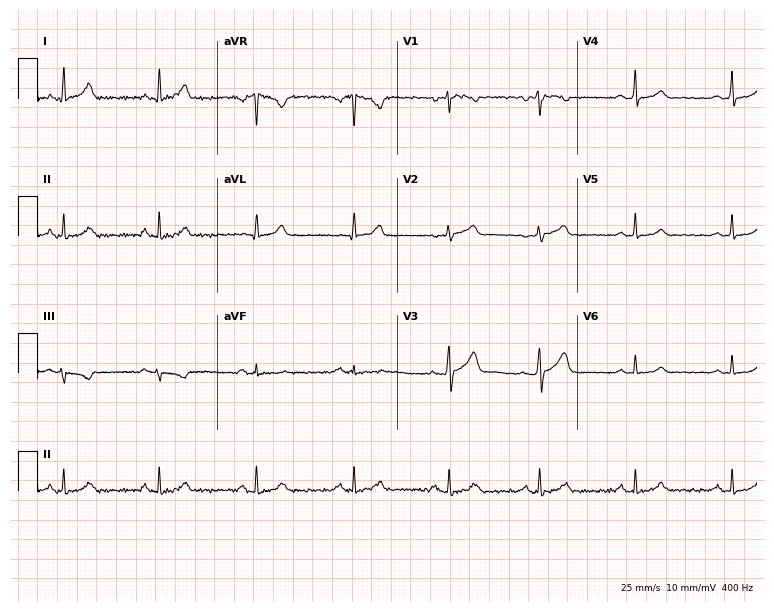
Electrocardiogram (7.3-second recording at 400 Hz), a woman, 30 years old. Overall reading on record: normal ECG.